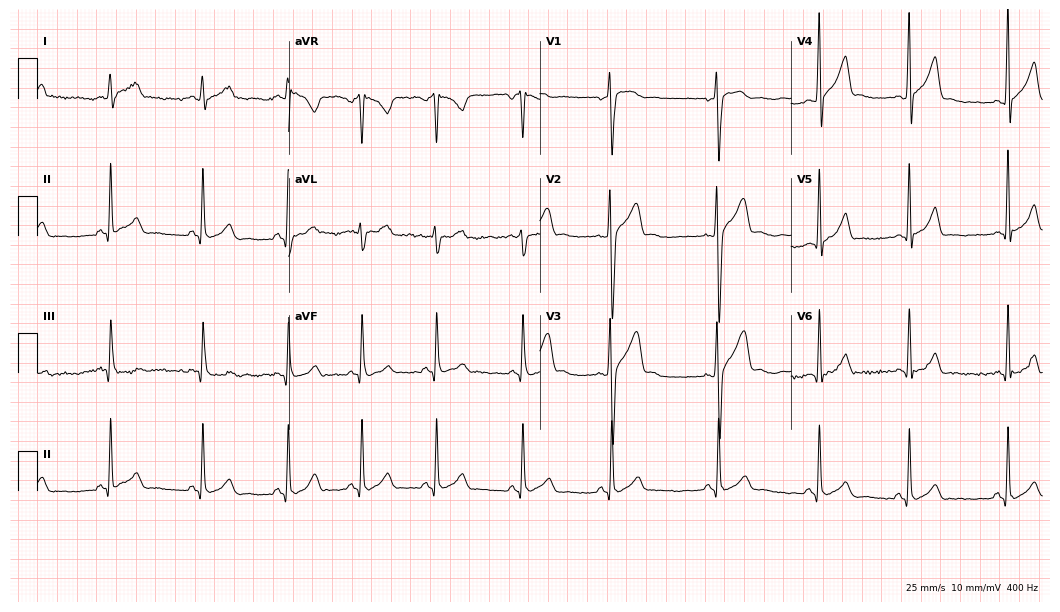
Electrocardiogram (10.2-second recording at 400 Hz), a male patient, 23 years old. Of the six screened findings (first-degree AV block, right bundle branch block (RBBB), left bundle branch block (LBBB), sinus bradycardia, atrial fibrillation (AF), sinus tachycardia), none is recorded. Only these six findings were labelled.